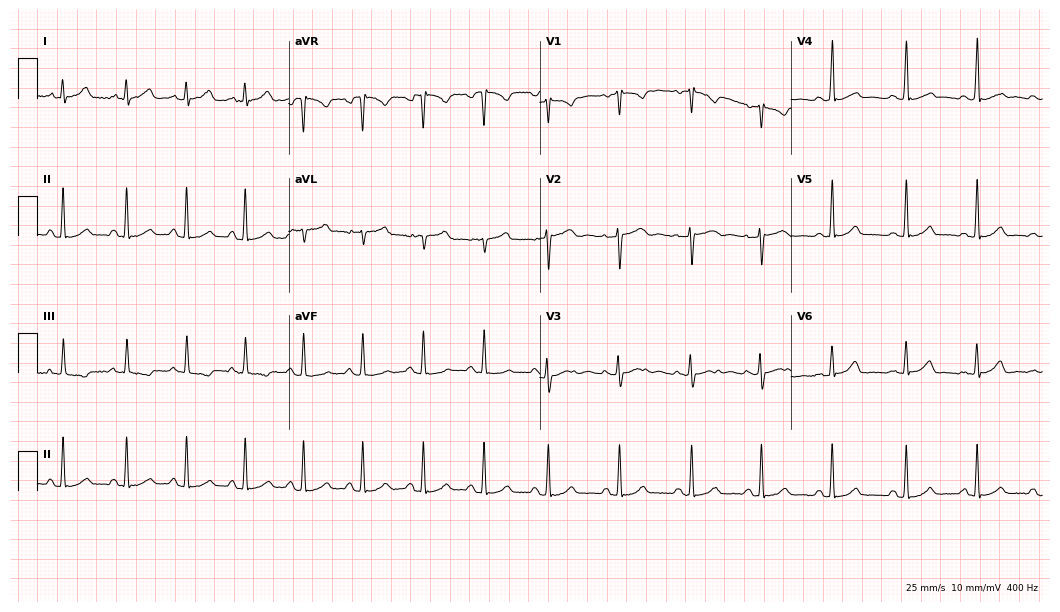
ECG (10.2-second recording at 400 Hz) — an 18-year-old female patient. Labelled as a normal ECG.